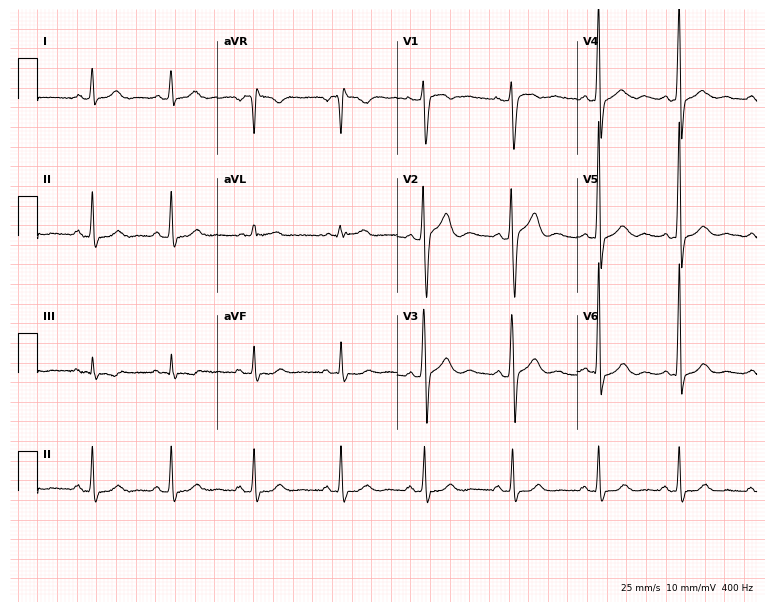
Resting 12-lead electrocardiogram (7.3-second recording at 400 Hz). Patient: a 25-year-old male. None of these six findings is recorded: first-degree AV block, right bundle branch block, left bundle branch block, sinus bradycardia, atrial fibrillation, sinus tachycardia.